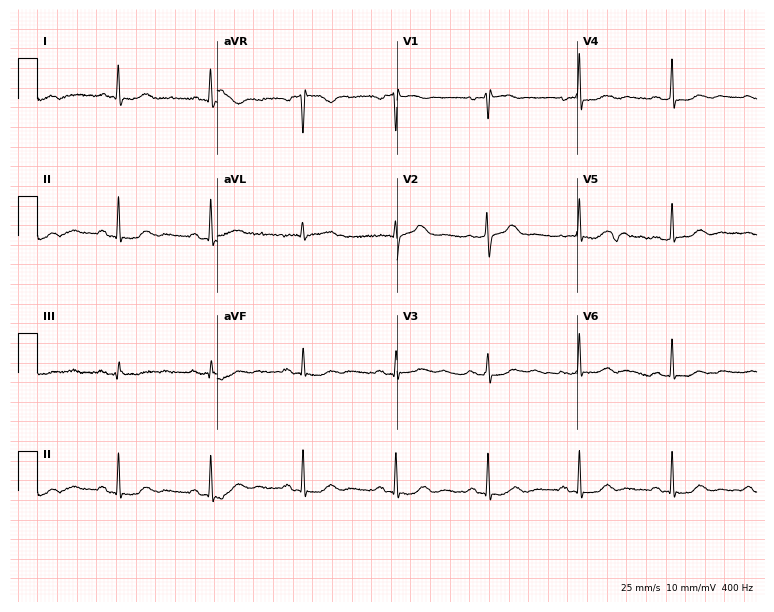
12-lead ECG (7.3-second recording at 400 Hz) from a woman, 58 years old. Screened for six findings — first-degree AV block, right bundle branch block, left bundle branch block, sinus bradycardia, atrial fibrillation, sinus tachycardia — none is recorded.